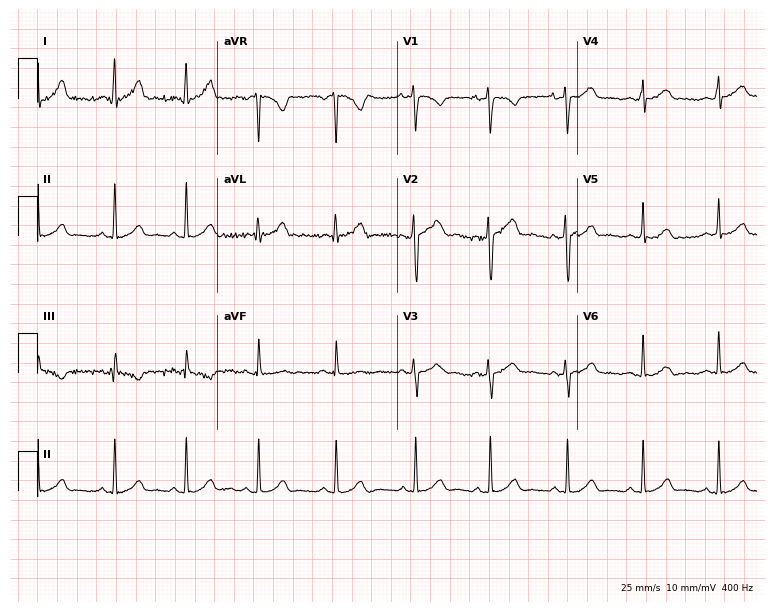
ECG (7.3-second recording at 400 Hz) — a 23-year-old female. Labelled as a normal ECG.